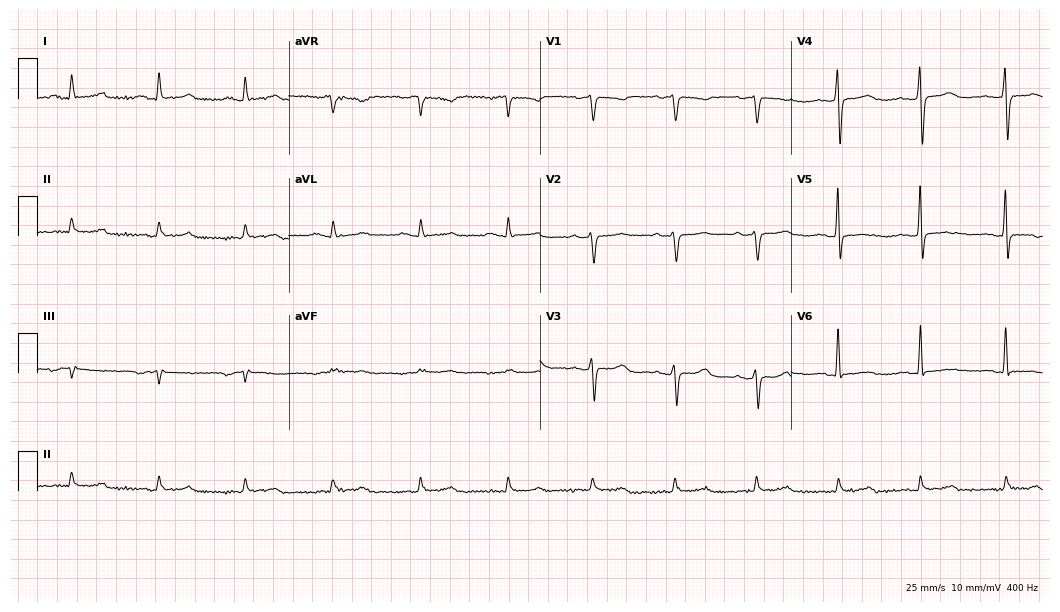
Electrocardiogram (10.2-second recording at 400 Hz), a 65-year-old female patient. Overall reading on record: normal ECG.